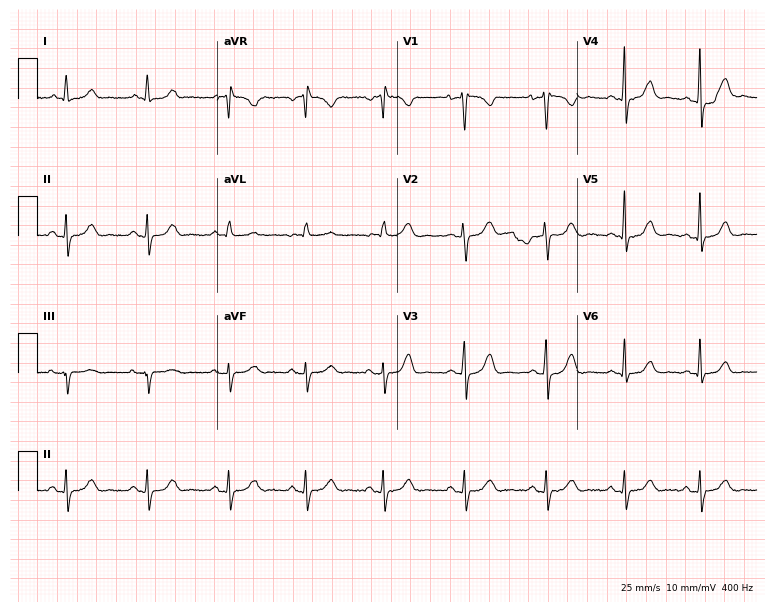
Standard 12-lead ECG recorded from a 42-year-old female (7.3-second recording at 400 Hz). Read as a normal ECG.